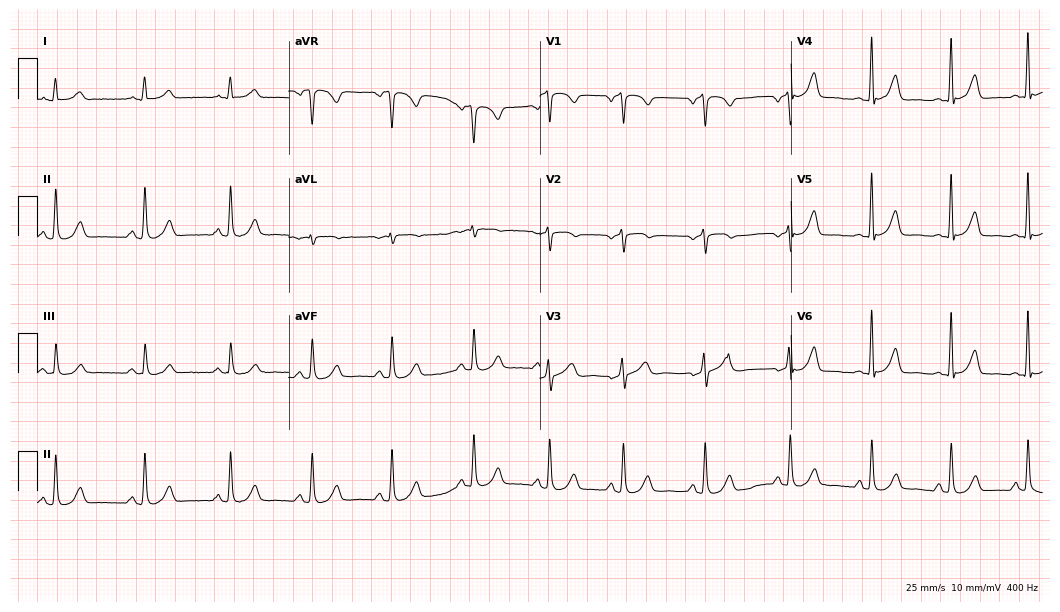
ECG — a 52-year-old male. Labelled as a normal ECG.